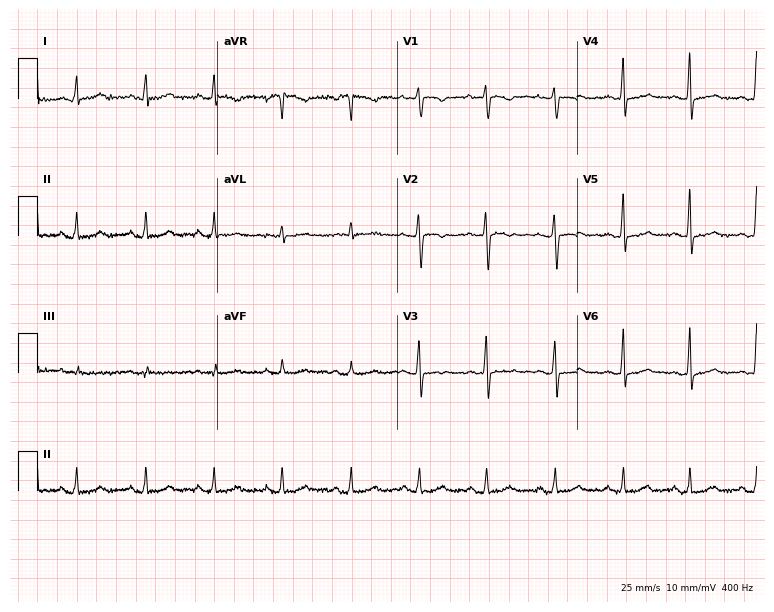
ECG (7.3-second recording at 400 Hz) — a female, 36 years old. Screened for six findings — first-degree AV block, right bundle branch block, left bundle branch block, sinus bradycardia, atrial fibrillation, sinus tachycardia — none is recorded.